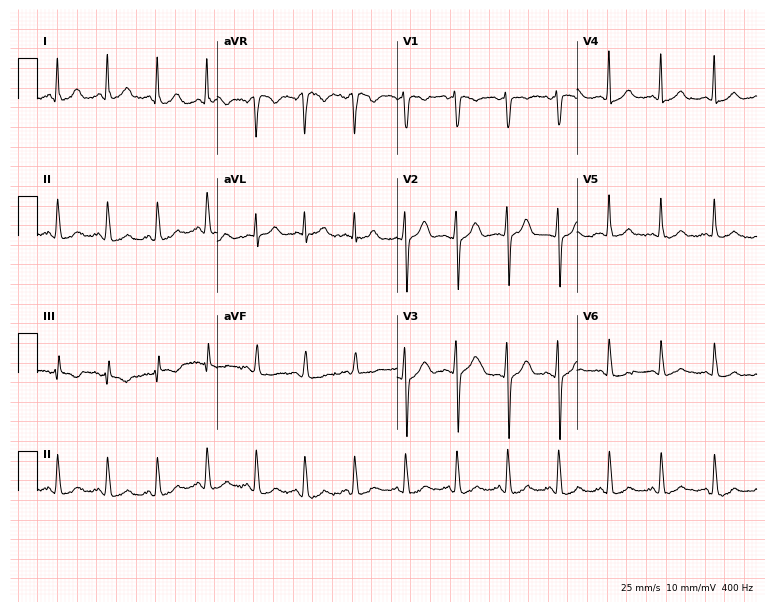
ECG (7.3-second recording at 400 Hz) — a female patient, 30 years old. Findings include sinus tachycardia (a sinus rate of 100 beats per minute or more).